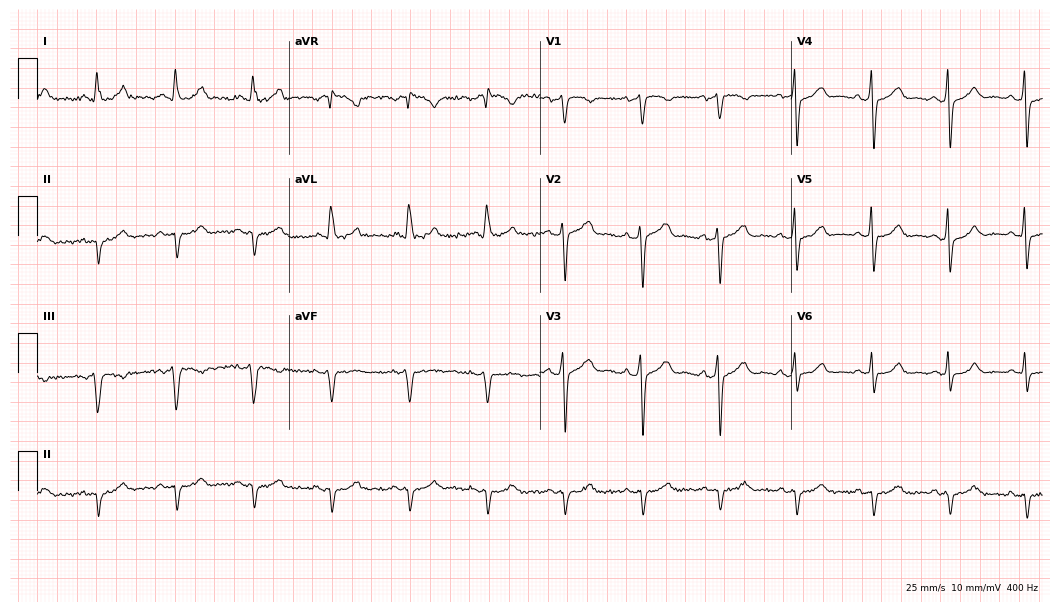
Standard 12-lead ECG recorded from a male, 69 years old (10.2-second recording at 400 Hz). None of these six findings is recorded: first-degree AV block, right bundle branch block, left bundle branch block, sinus bradycardia, atrial fibrillation, sinus tachycardia. Findings outside these six are not listed.